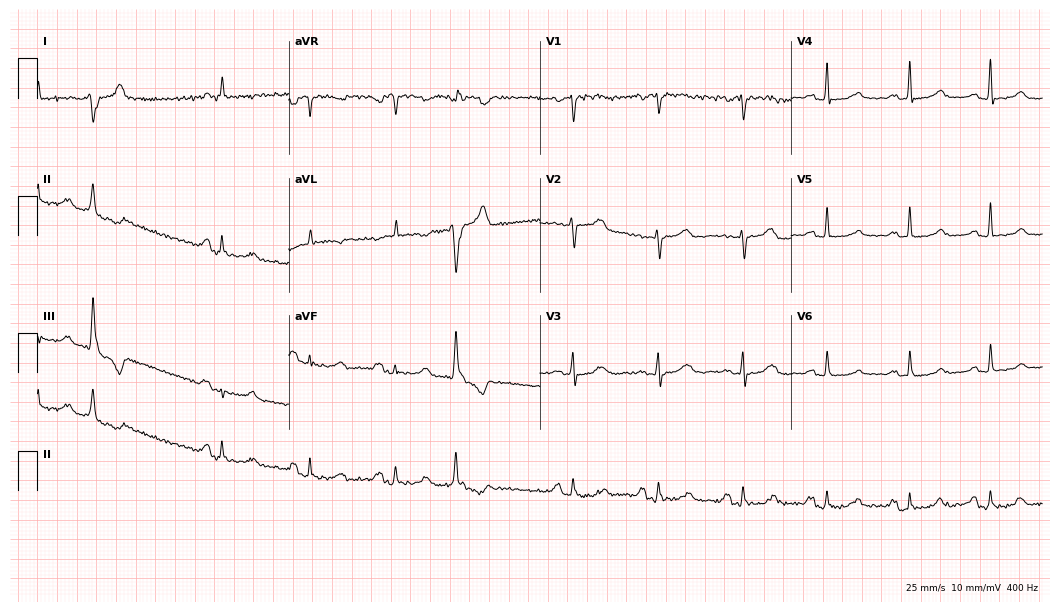
ECG (10.2-second recording at 400 Hz) — a 51-year-old female. Labelled as a normal ECG.